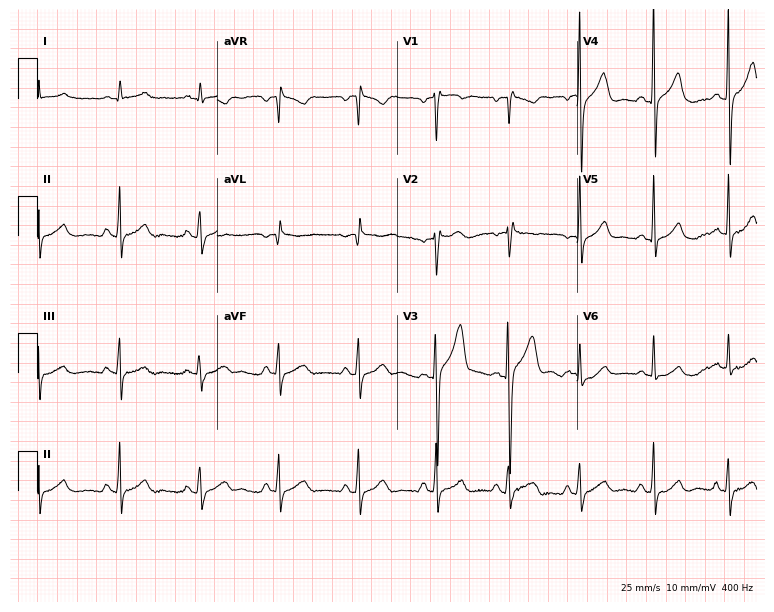
Electrocardiogram (7.3-second recording at 400 Hz), a male, 51 years old. Overall reading on record: normal ECG.